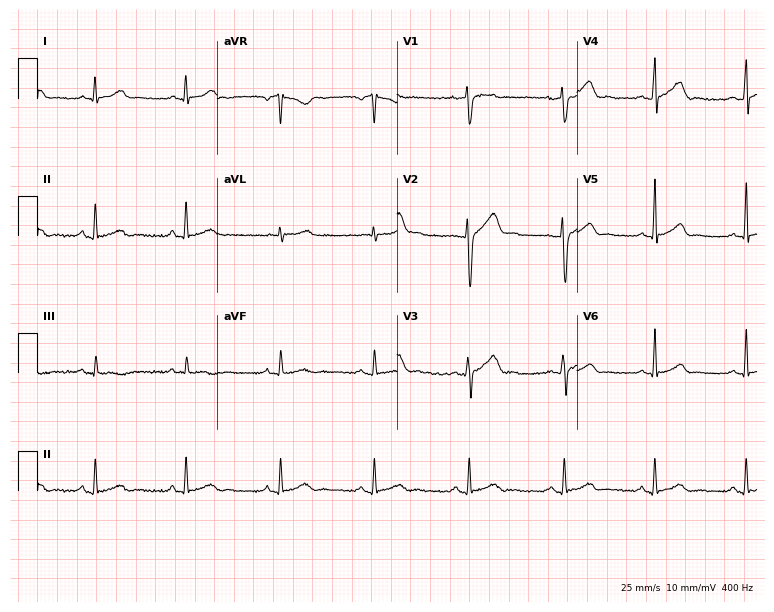
ECG (7.3-second recording at 400 Hz) — a man, 31 years old. Labelled as a normal ECG.